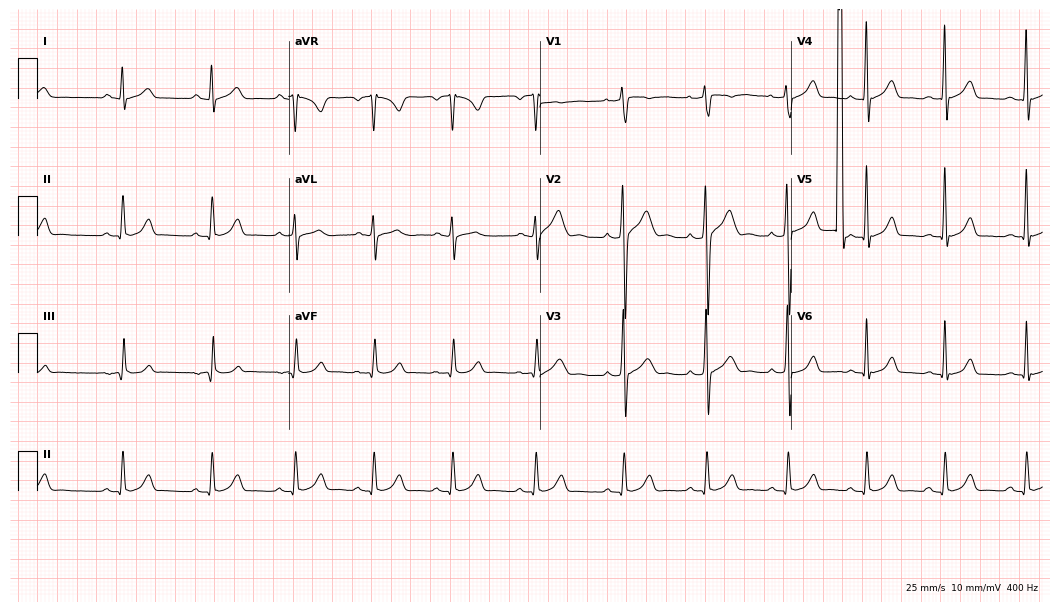
12-lead ECG (10.2-second recording at 400 Hz) from a 28-year-old male patient. Labelled as a normal ECG.